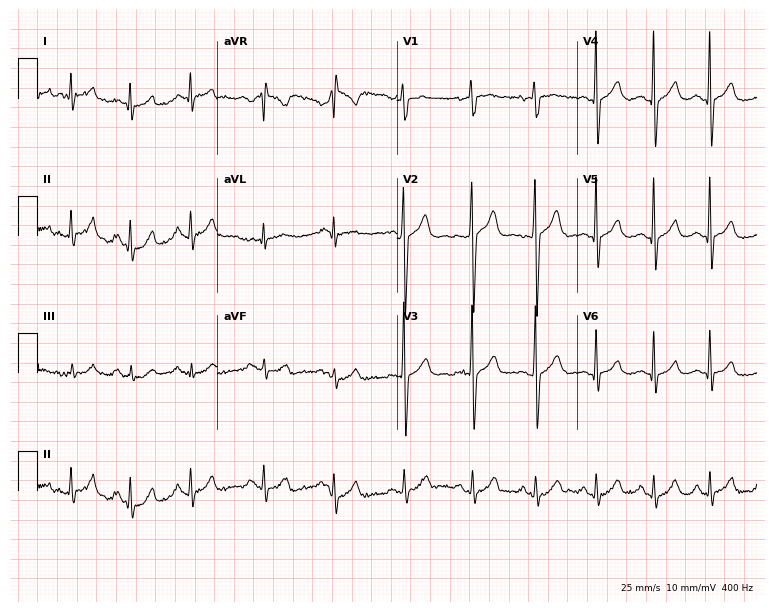
12-lead ECG (7.3-second recording at 400 Hz) from a 28-year-old male. Screened for six findings — first-degree AV block, right bundle branch block, left bundle branch block, sinus bradycardia, atrial fibrillation, sinus tachycardia — none is recorded.